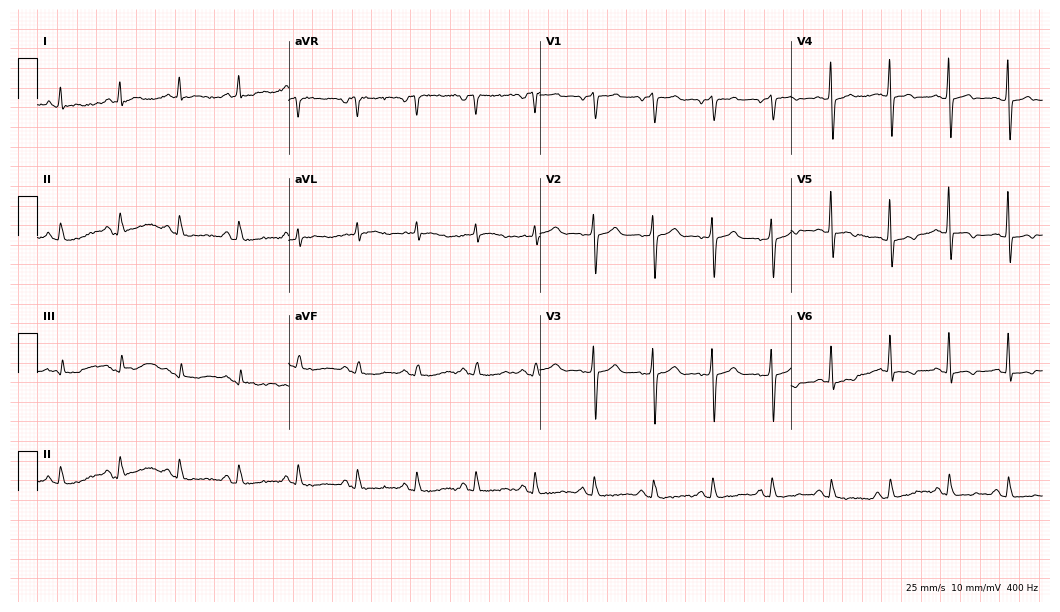
ECG (10.2-second recording at 400 Hz) — a 76-year-old male patient. Screened for six findings — first-degree AV block, right bundle branch block (RBBB), left bundle branch block (LBBB), sinus bradycardia, atrial fibrillation (AF), sinus tachycardia — none is recorded.